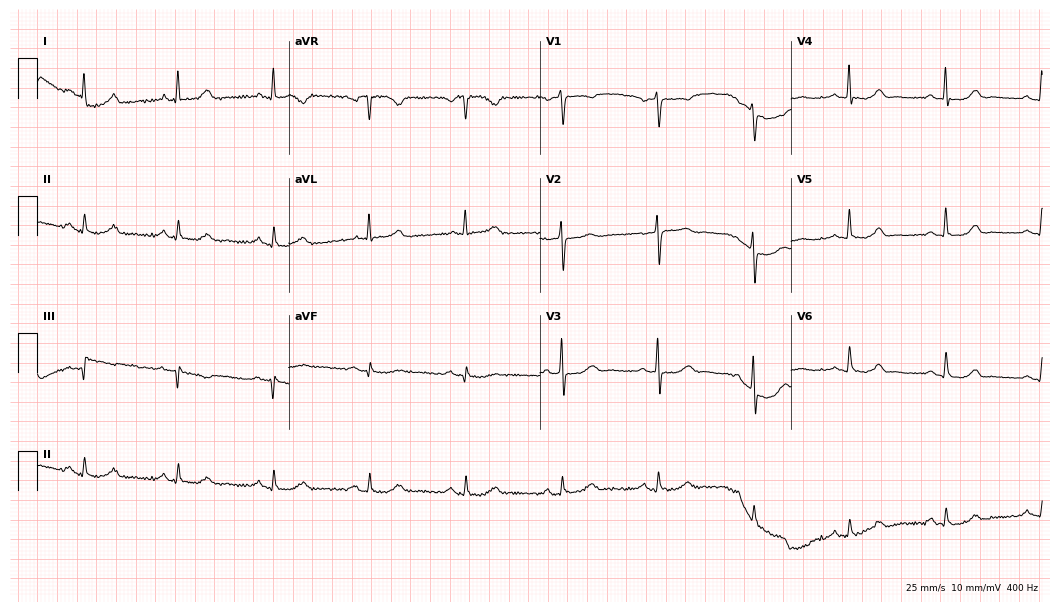
Resting 12-lead electrocardiogram (10.2-second recording at 400 Hz). Patient: a 69-year-old female. Read as a normal ECG.